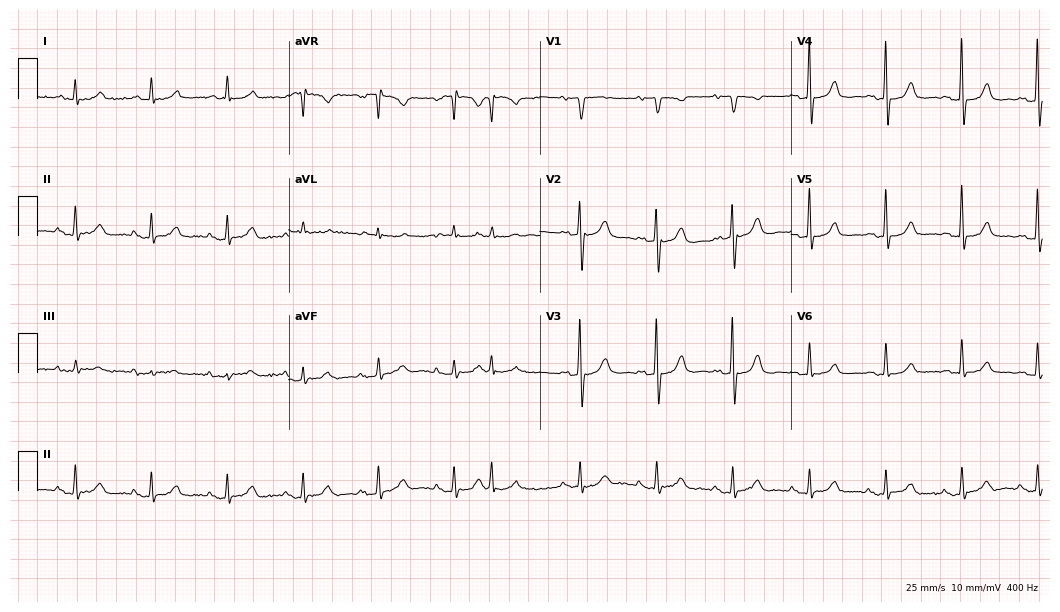
ECG (10.2-second recording at 400 Hz) — a female patient, 88 years old. Labelled as a normal ECG.